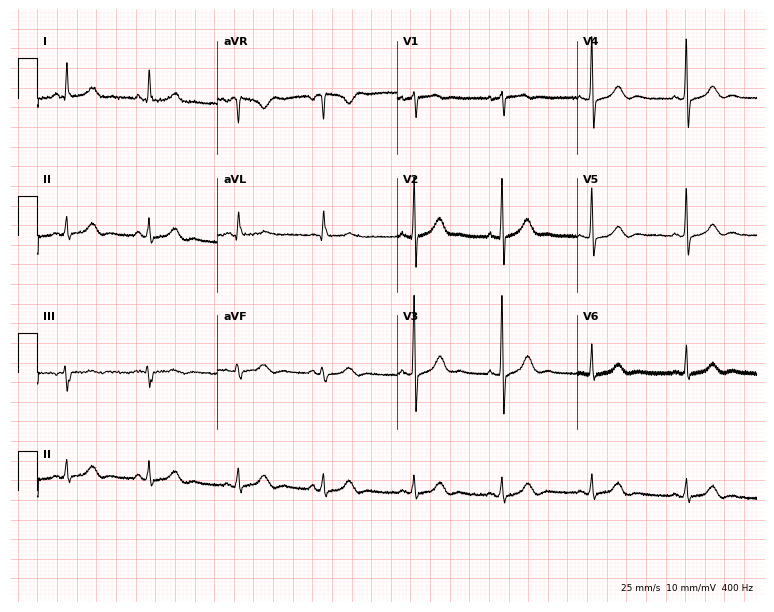
12-lead ECG from a female, 67 years old (7.3-second recording at 400 Hz). No first-degree AV block, right bundle branch block (RBBB), left bundle branch block (LBBB), sinus bradycardia, atrial fibrillation (AF) or sinus tachycardia recorded for this tracing.